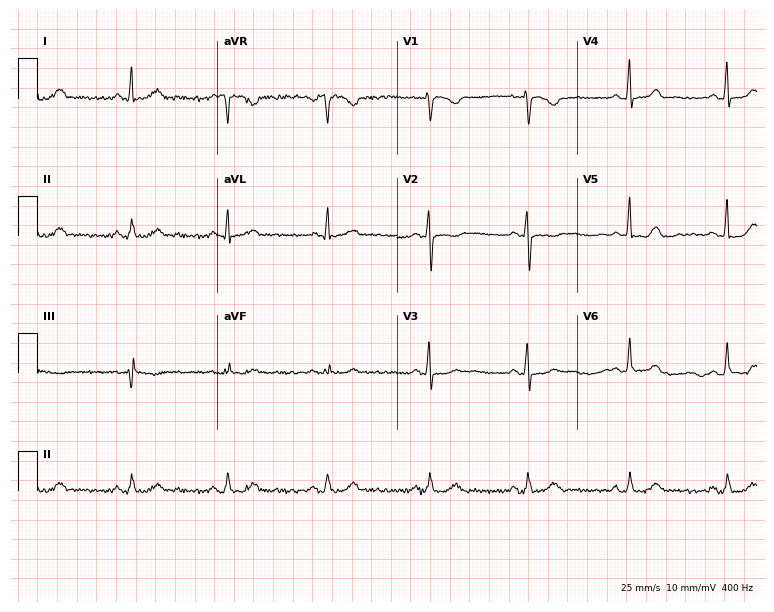
12-lead ECG (7.3-second recording at 400 Hz) from a man, 53 years old. Screened for six findings — first-degree AV block, right bundle branch block, left bundle branch block, sinus bradycardia, atrial fibrillation, sinus tachycardia — none is recorded. Other findings, if any, are not listed.